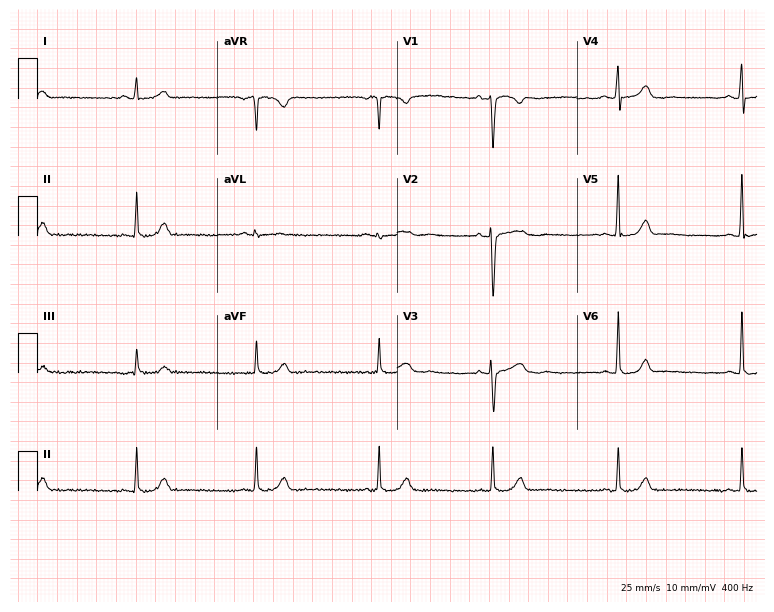
12-lead ECG from a 30-year-old female patient (7.3-second recording at 400 Hz). Recorded interpretation: within normal limits.